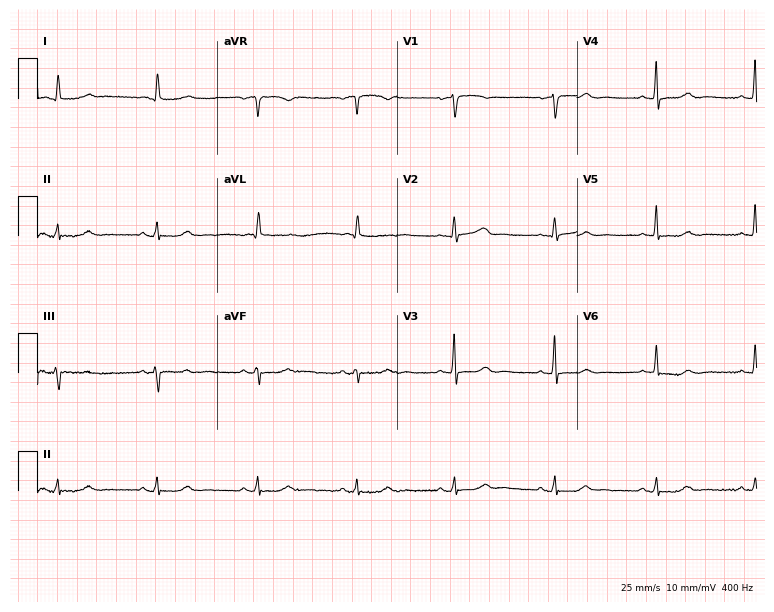
Electrocardiogram, a female patient, 76 years old. Overall reading on record: normal ECG.